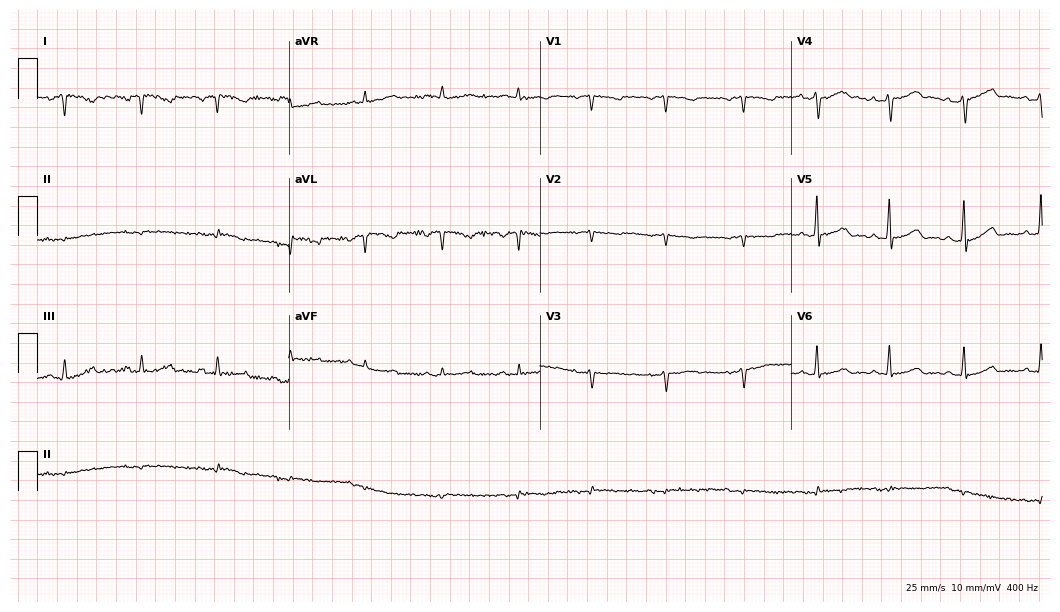
ECG — a female patient, 43 years old. Screened for six findings — first-degree AV block, right bundle branch block, left bundle branch block, sinus bradycardia, atrial fibrillation, sinus tachycardia — none is recorded.